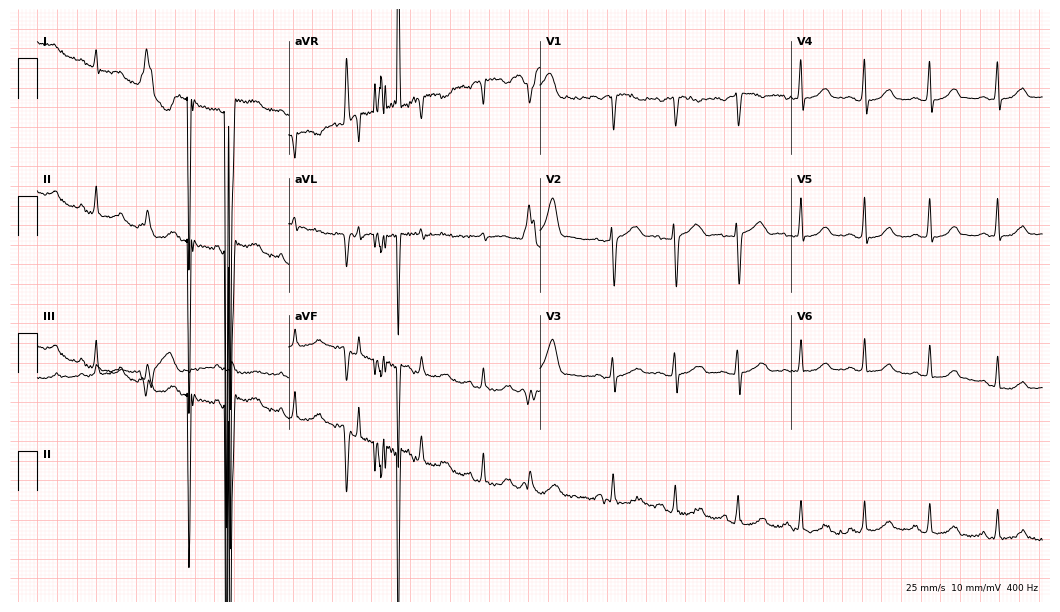
Electrocardiogram (10.2-second recording at 400 Hz), a female, 39 years old. Of the six screened findings (first-degree AV block, right bundle branch block, left bundle branch block, sinus bradycardia, atrial fibrillation, sinus tachycardia), none is recorded.